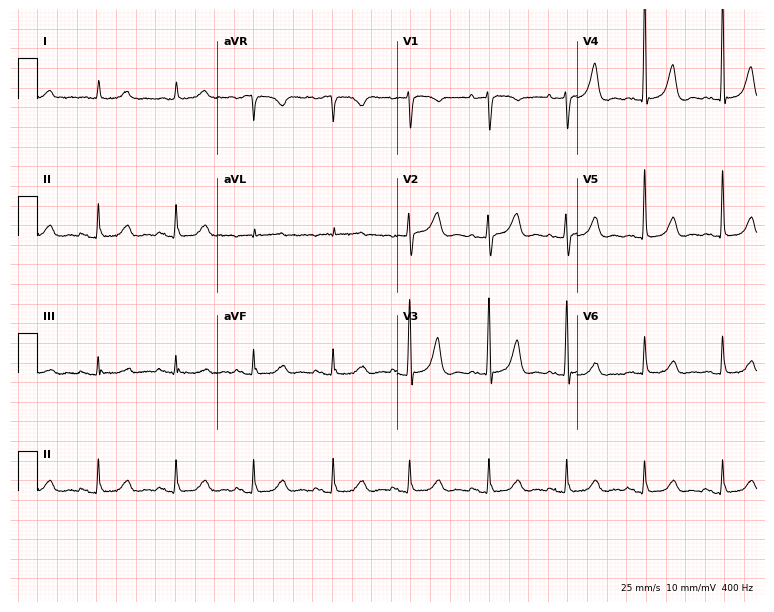
Resting 12-lead electrocardiogram. Patient: an 80-year-old woman. Read as a normal ECG.